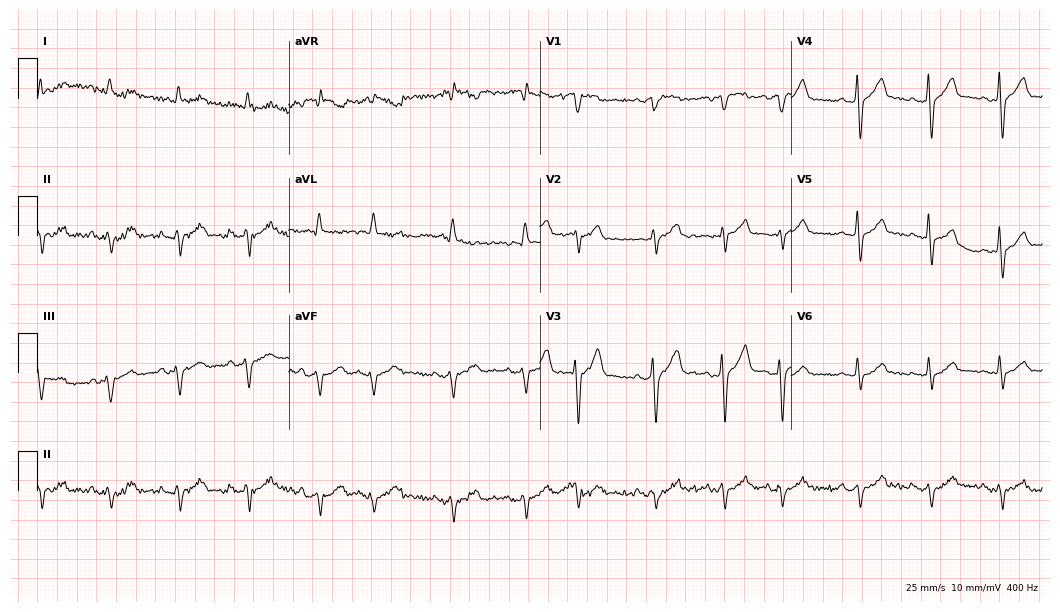
Standard 12-lead ECG recorded from a 69-year-old male patient. None of these six findings is recorded: first-degree AV block, right bundle branch block, left bundle branch block, sinus bradycardia, atrial fibrillation, sinus tachycardia. Findings outside these six are not listed.